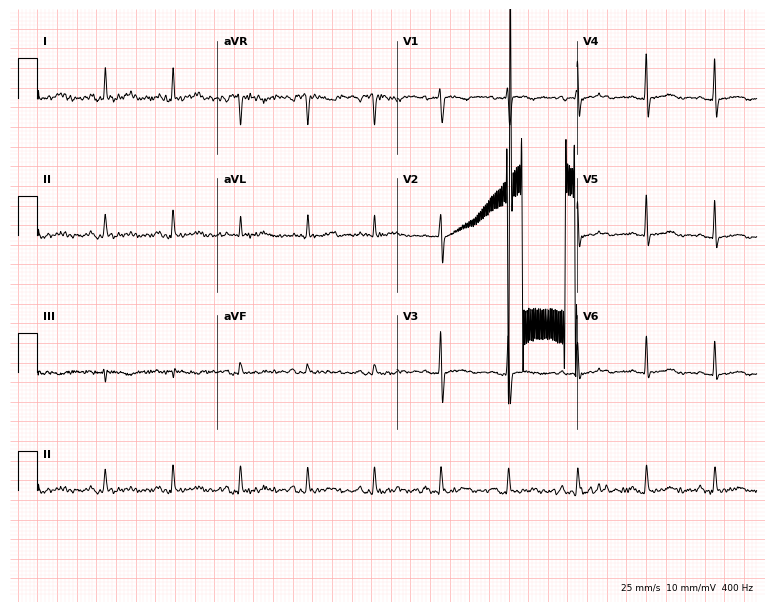
12-lead ECG (7.3-second recording at 400 Hz) from a 38-year-old woman. Screened for six findings — first-degree AV block, right bundle branch block, left bundle branch block, sinus bradycardia, atrial fibrillation, sinus tachycardia — none is recorded. Findings outside these six are not listed.